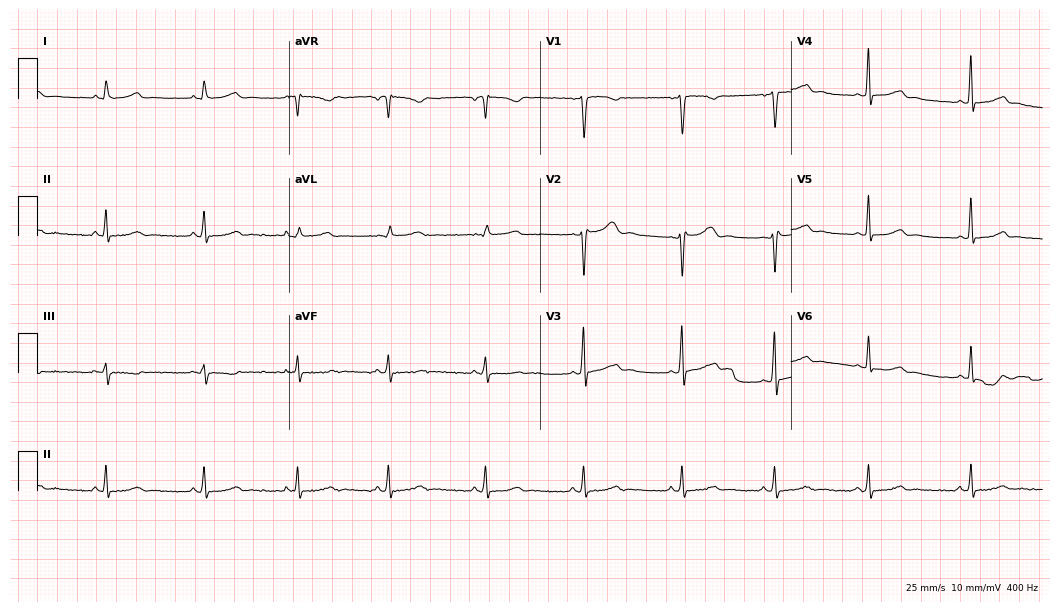
Standard 12-lead ECG recorded from a female patient, 33 years old (10.2-second recording at 400 Hz). Read as a normal ECG.